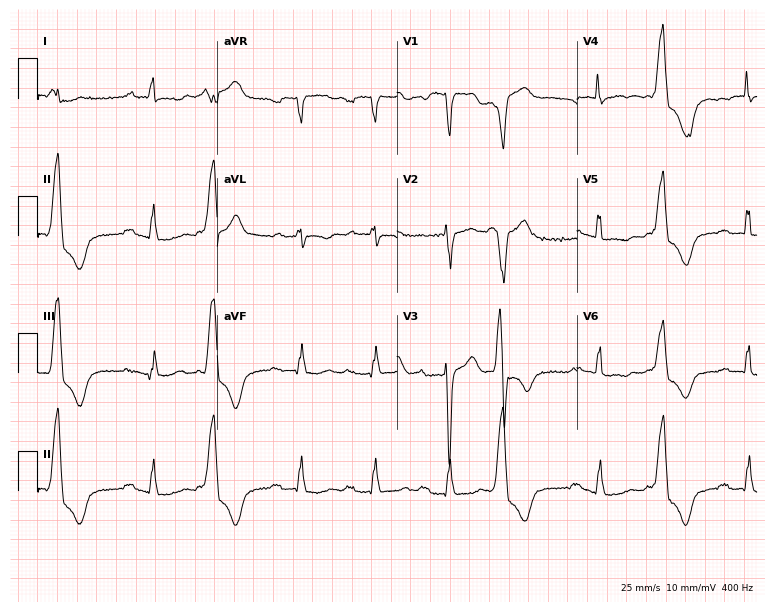
ECG — a 76-year-old male. Findings include first-degree AV block.